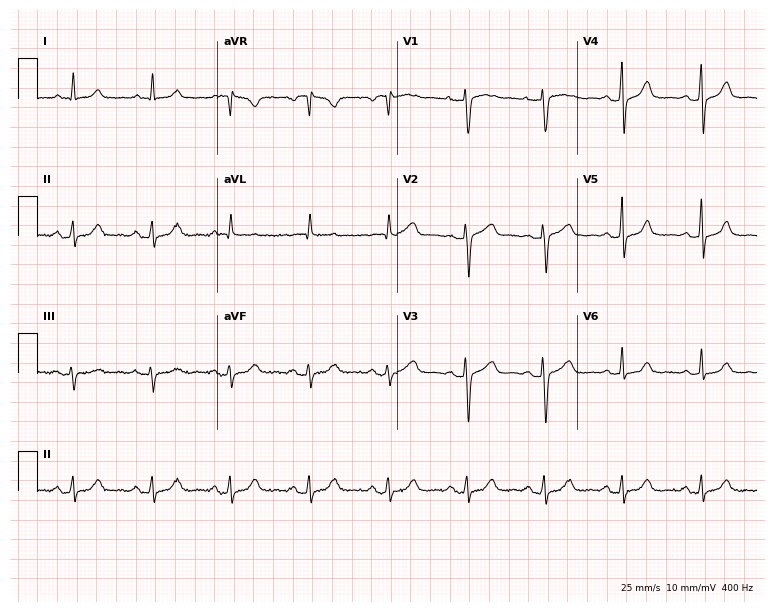
ECG — a woman, 64 years old. Labelled as a normal ECG.